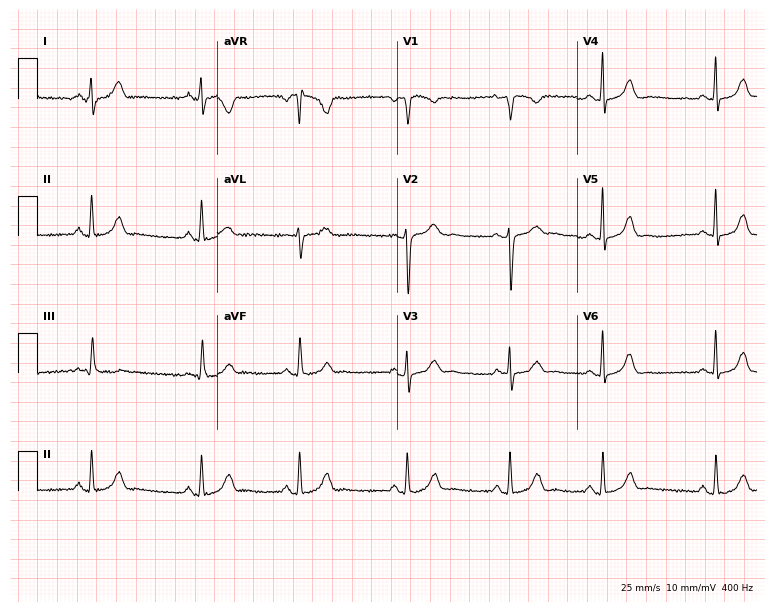
12-lead ECG from a female, 28 years old. Recorded interpretation: within normal limits.